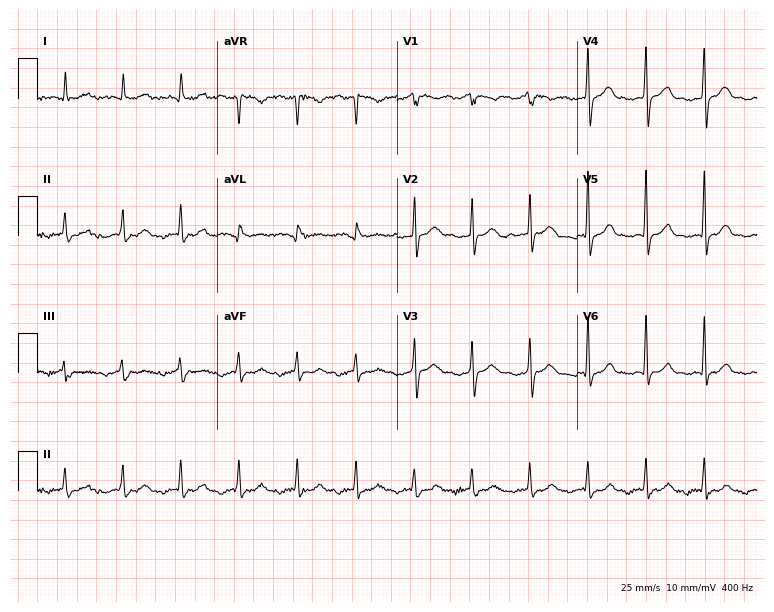
ECG (7.3-second recording at 400 Hz) — a woman, 41 years old. Findings include sinus tachycardia (a sinus rate of 100 beats per minute or more).